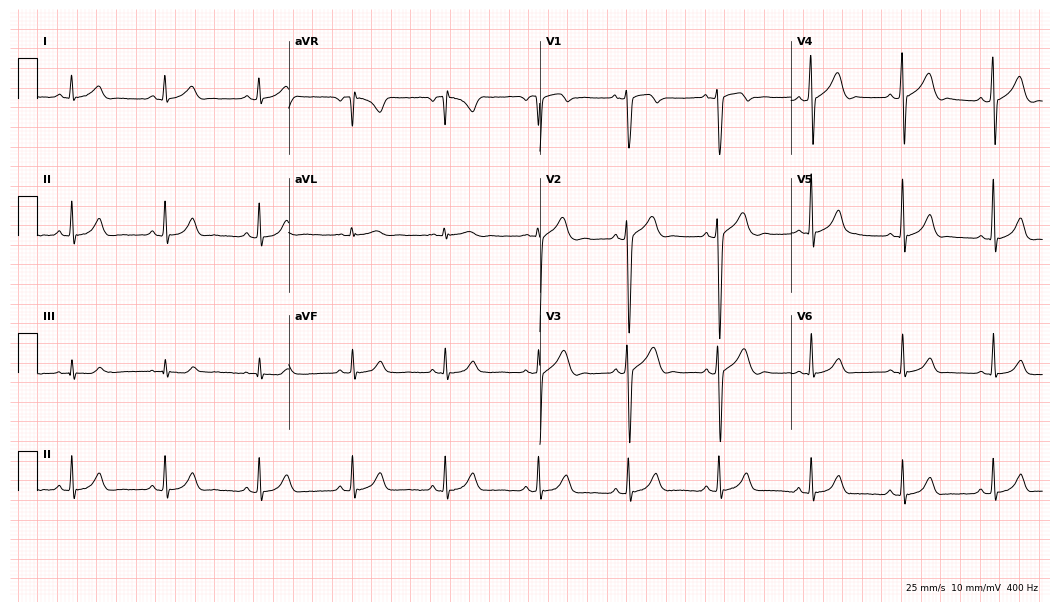
Resting 12-lead electrocardiogram. Patient: a male, 20 years old. Read as a normal ECG.